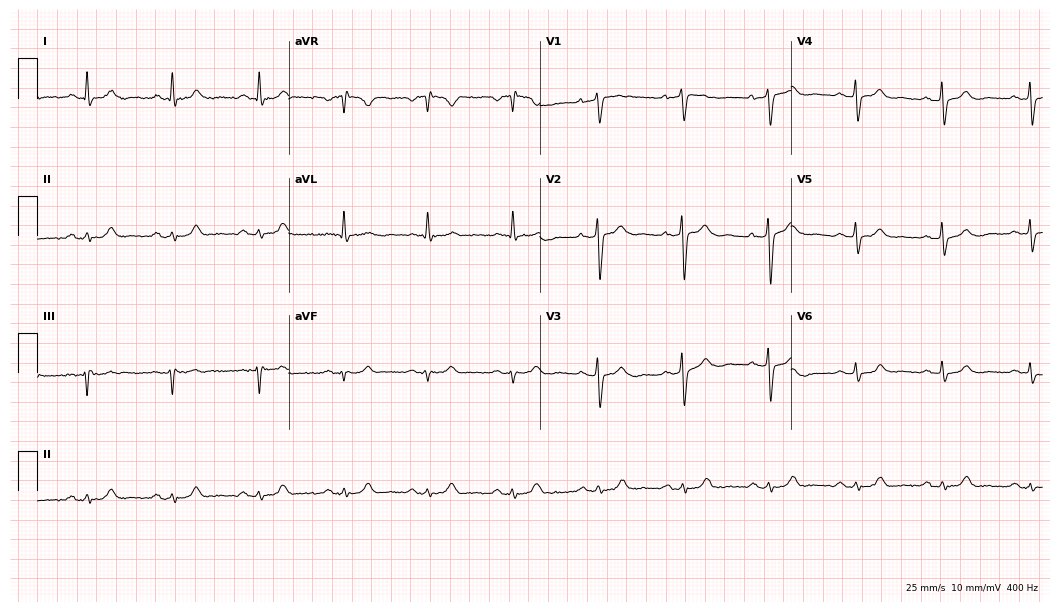
Resting 12-lead electrocardiogram (10.2-second recording at 400 Hz). Patient: a 61-year-old female. None of these six findings is recorded: first-degree AV block, right bundle branch block, left bundle branch block, sinus bradycardia, atrial fibrillation, sinus tachycardia.